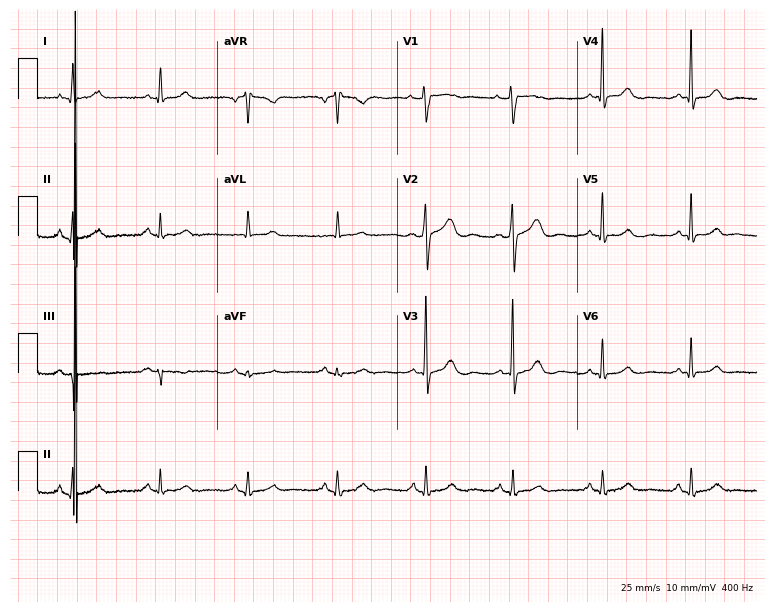
Standard 12-lead ECG recorded from a woman, 75 years old. None of these six findings is recorded: first-degree AV block, right bundle branch block, left bundle branch block, sinus bradycardia, atrial fibrillation, sinus tachycardia. Other findings, if any, are not listed.